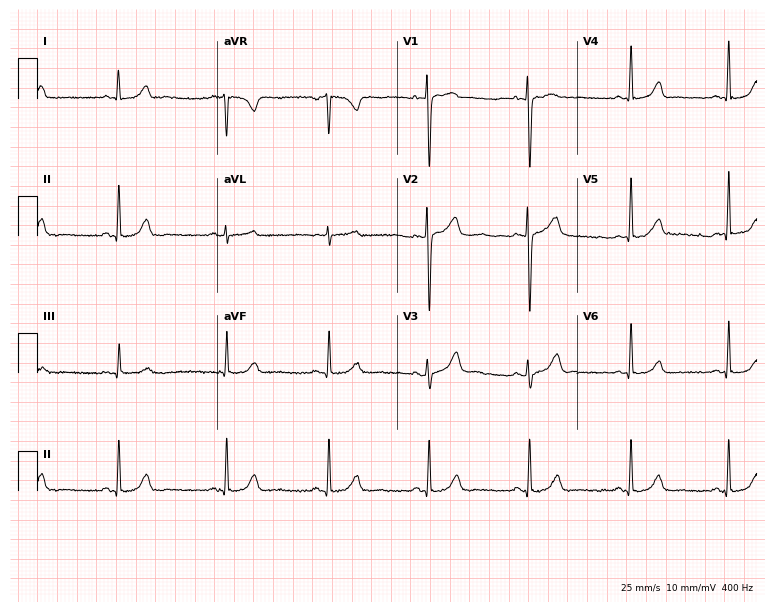
ECG (7.3-second recording at 400 Hz) — a woman, 41 years old. Labelled as a normal ECG.